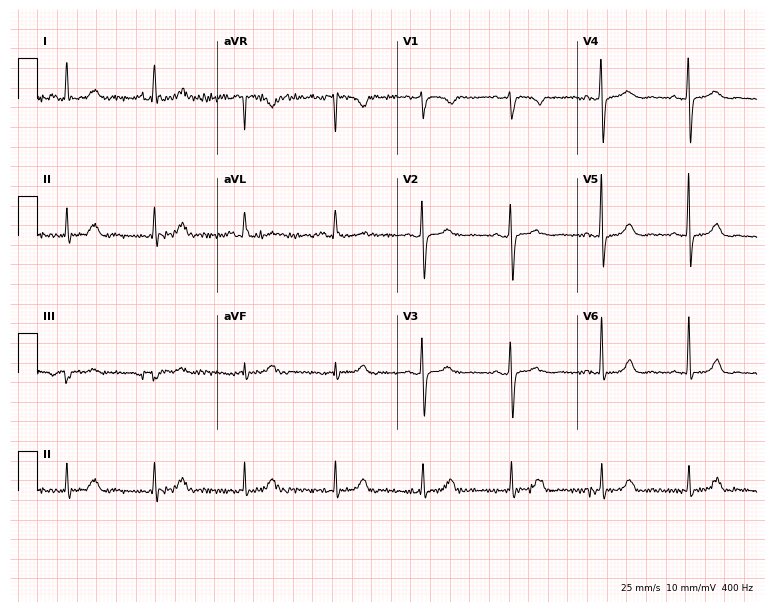
ECG (7.3-second recording at 400 Hz) — a female, 71 years old. Screened for six findings — first-degree AV block, right bundle branch block, left bundle branch block, sinus bradycardia, atrial fibrillation, sinus tachycardia — none is recorded. Findings outside these six are not listed.